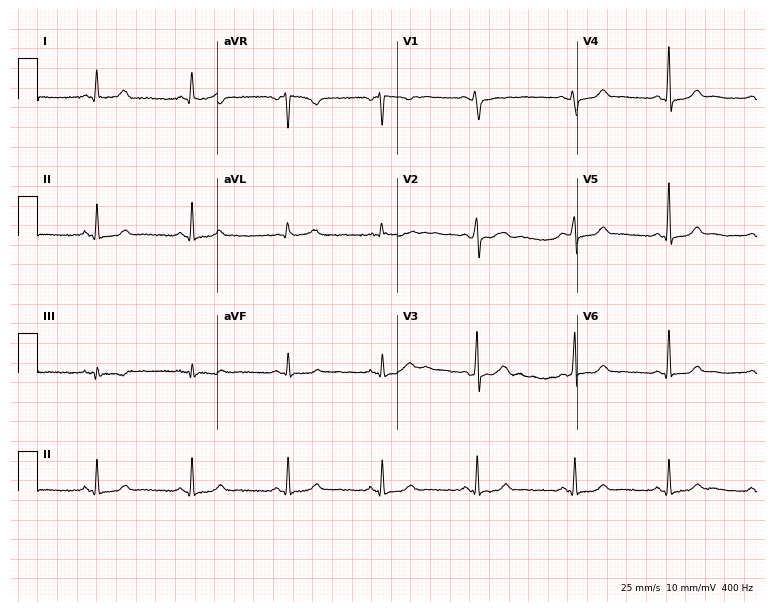
Electrocardiogram (7.3-second recording at 400 Hz), a female patient, 30 years old. Of the six screened findings (first-degree AV block, right bundle branch block, left bundle branch block, sinus bradycardia, atrial fibrillation, sinus tachycardia), none is recorded. Other findings, if any, are not listed.